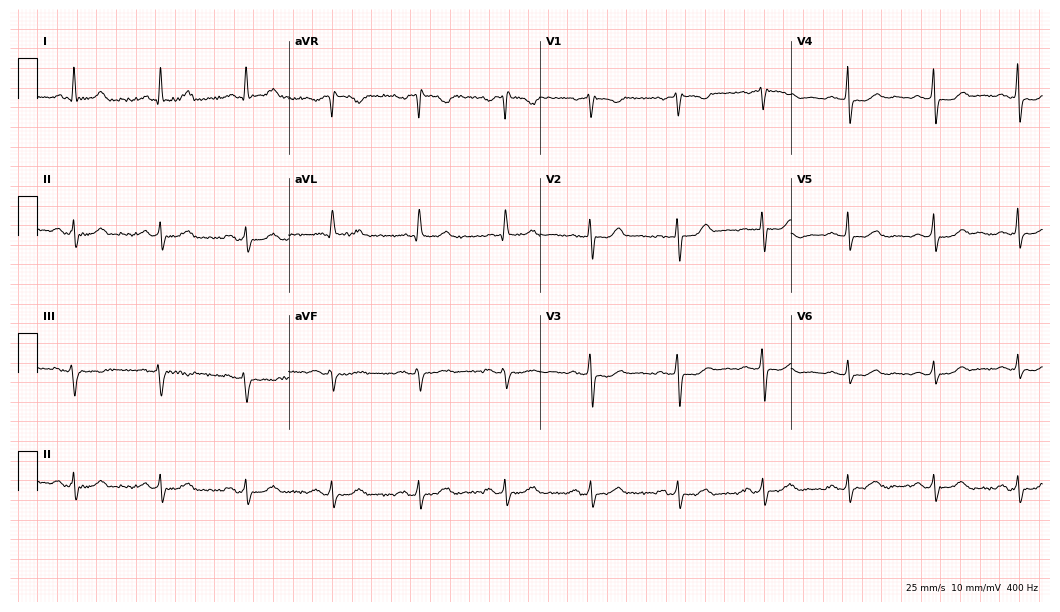
Standard 12-lead ECG recorded from a female, 64 years old. Read as a normal ECG.